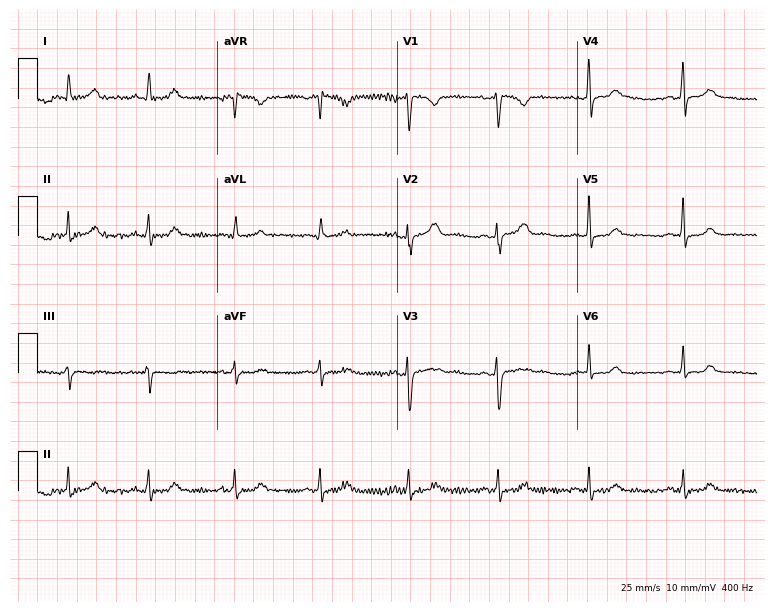
Resting 12-lead electrocardiogram (7.3-second recording at 400 Hz). Patient: a 43-year-old female. Read as a normal ECG.